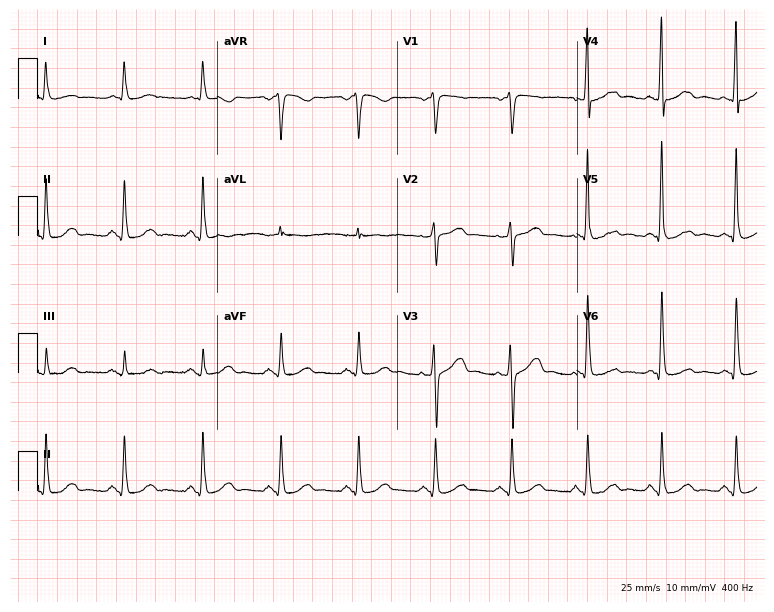
Electrocardiogram, a 56-year-old male patient. Of the six screened findings (first-degree AV block, right bundle branch block, left bundle branch block, sinus bradycardia, atrial fibrillation, sinus tachycardia), none is recorded. Only these six findings were labelled.